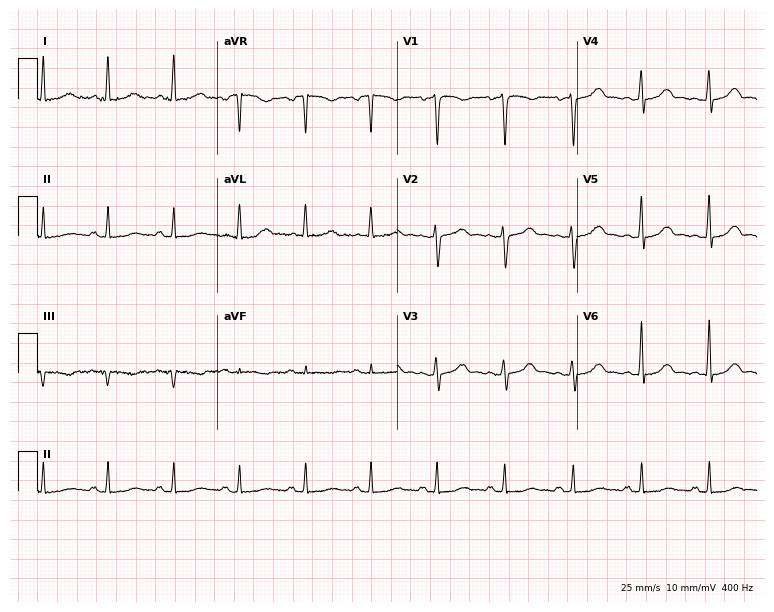
12-lead ECG from a woman, 60 years old. Labelled as a normal ECG.